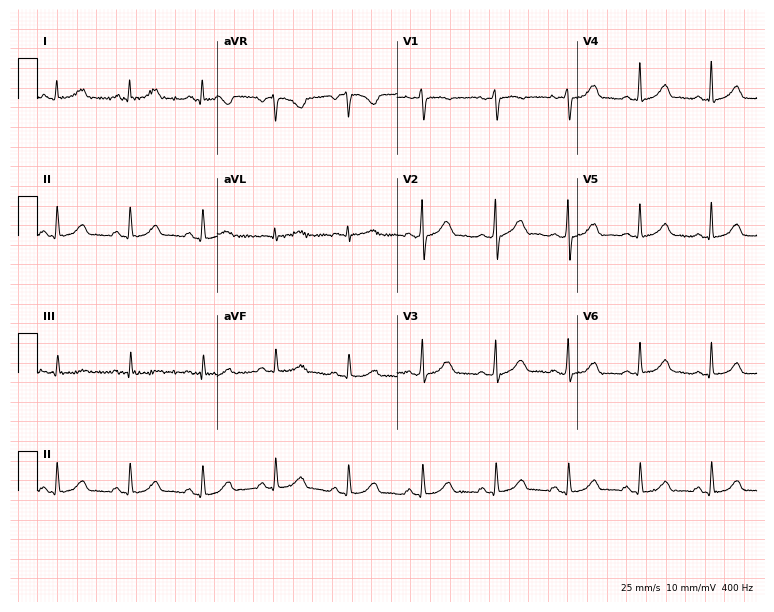
12-lead ECG from a female patient, 45 years old (7.3-second recording at 400 Hz). Recorded interpretation: within normal limits.